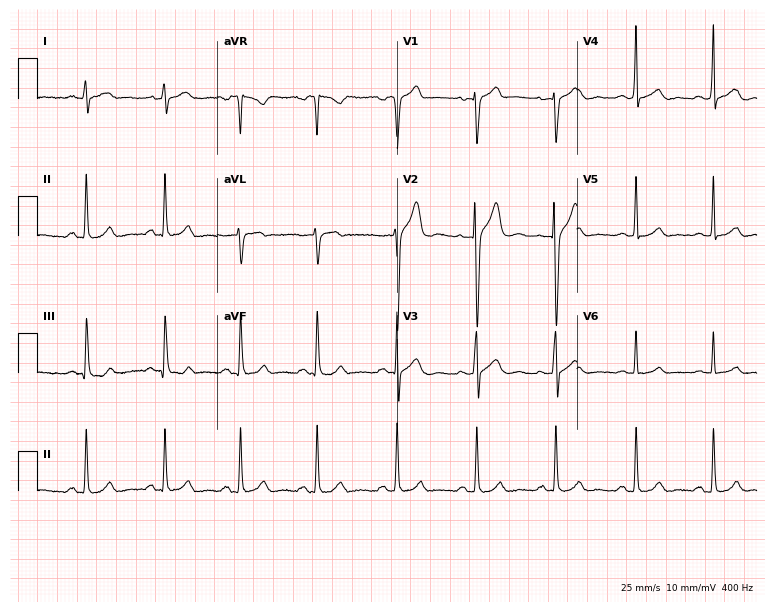
Standard 12-lead ECG recorded from a man, 32 years old (7.3-second recording at 400 Hz). None of these six findings is recorded: first-degree AV block, right bundle branch block, left bundle branch block, sinus bradycardia, atrial fibrillation, sinus tachycardia.